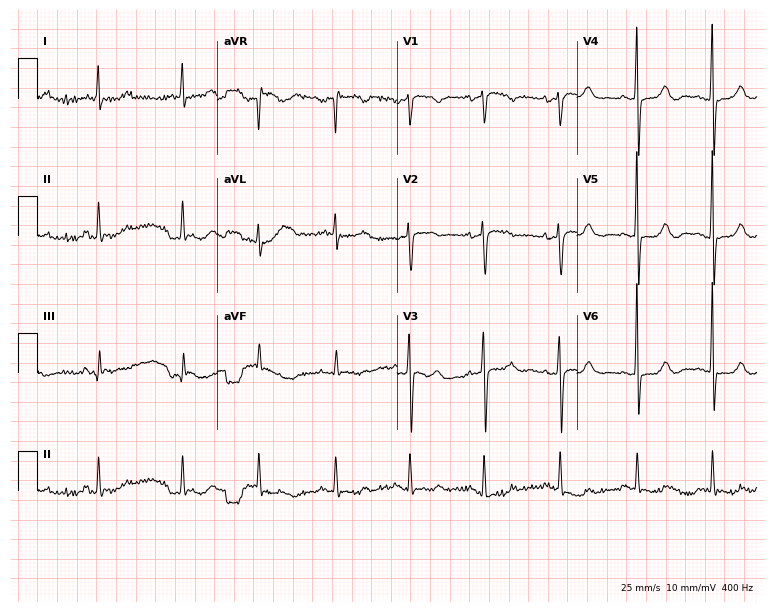
Standard 12-lead ECG recorded from a female patient, 72 years old. Read as a normal ECG.